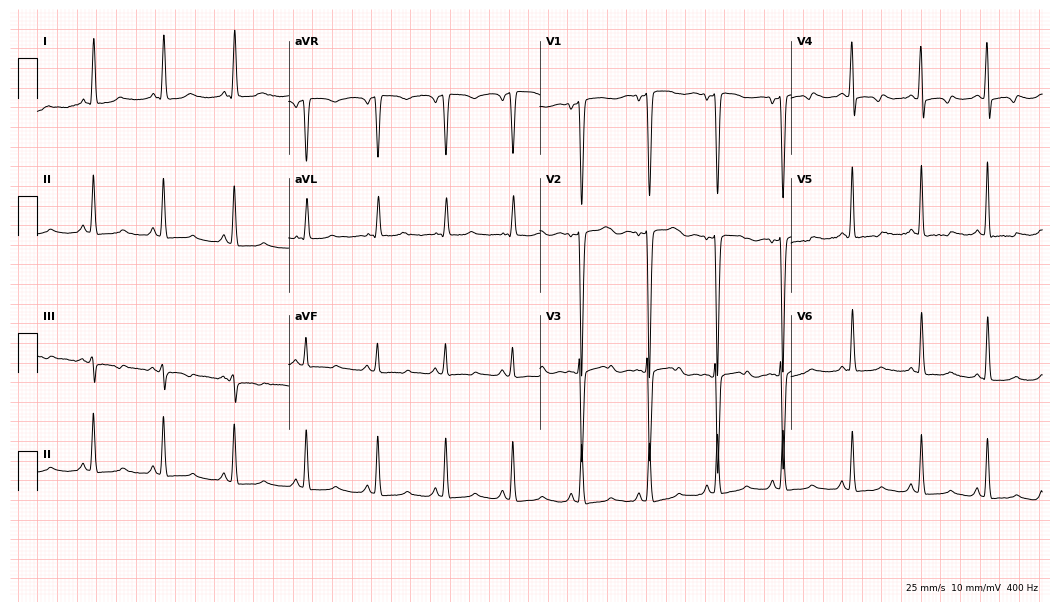
12-lead ECG (10.2-second recording at 400 Hz) from a female, 43 years old. Screened for six findings — first-degree AV block, right bundle branch block, left bundle branch block, sinus bradycardia, atrial fibrillation, sinus tachycardia — none is recorded.